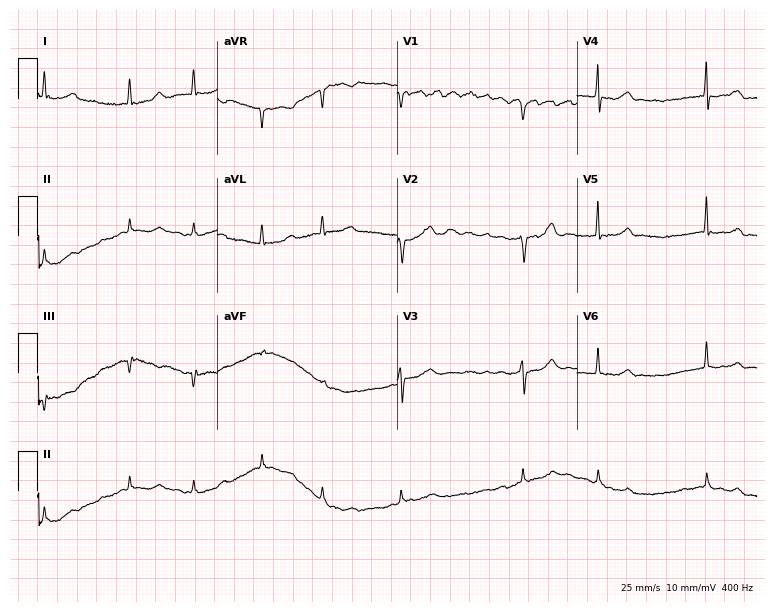
Electrocardiogram (7.3-second recording at 400 Hz), a female, 70 years old. Interpretation includes atrial fibrillation (AF).